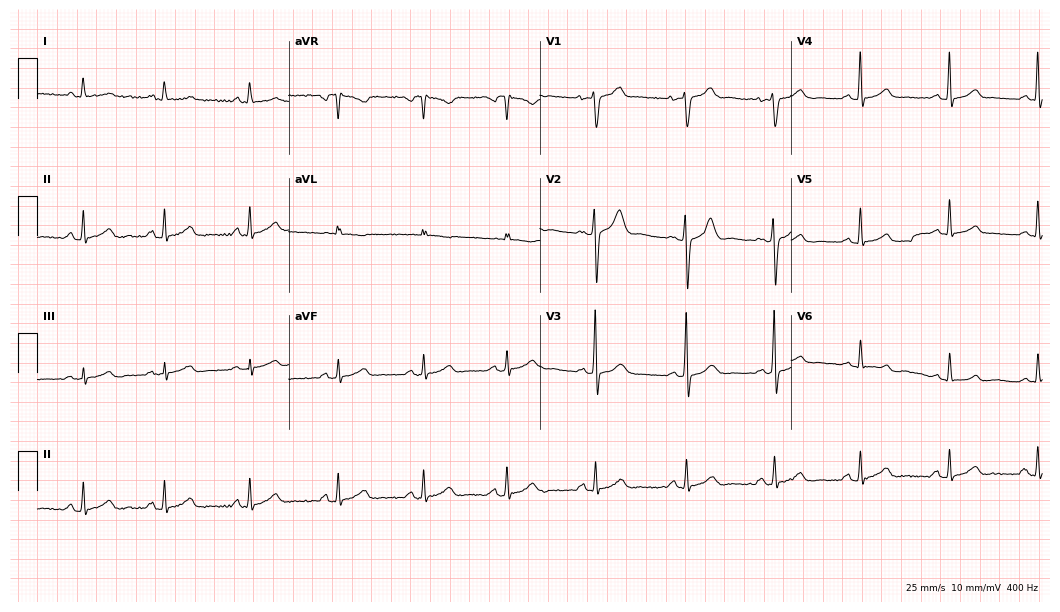
Resting 12-lead electrocardiogram. Patient: a male, 35 years old. None of these six findings is recorded: first-degree AV block, right bundle branch block, left bundle branch block, sinus bradycardia, atrial fibrillation, sinus tachycardia.